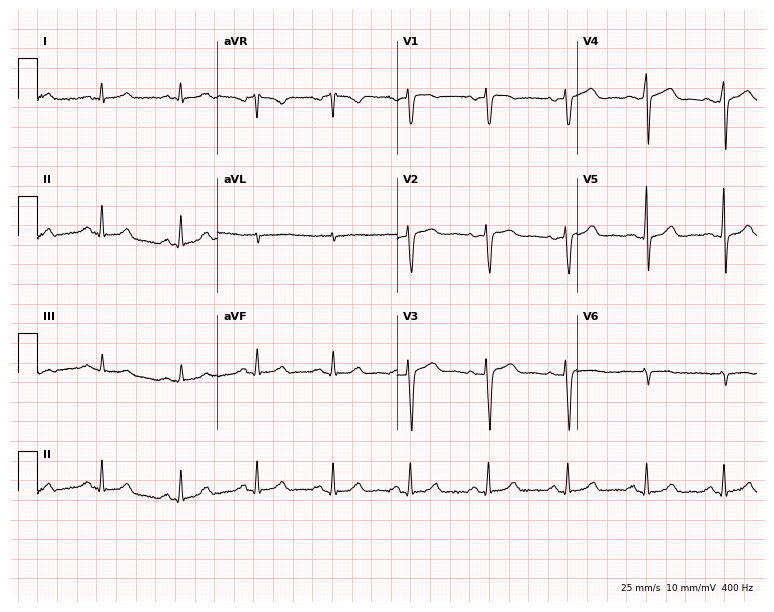
Electrocardiogram, a 53-year-old female patient. Overall reading on record: normal ECG.